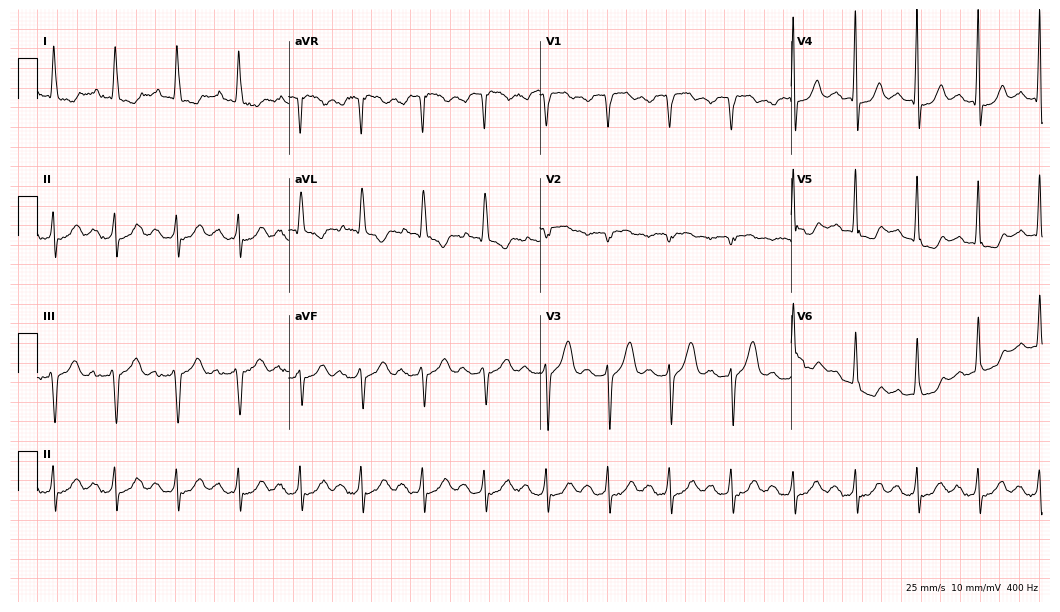
12-lead ECG from a man, 84 years old. Shows first-degree AV block.